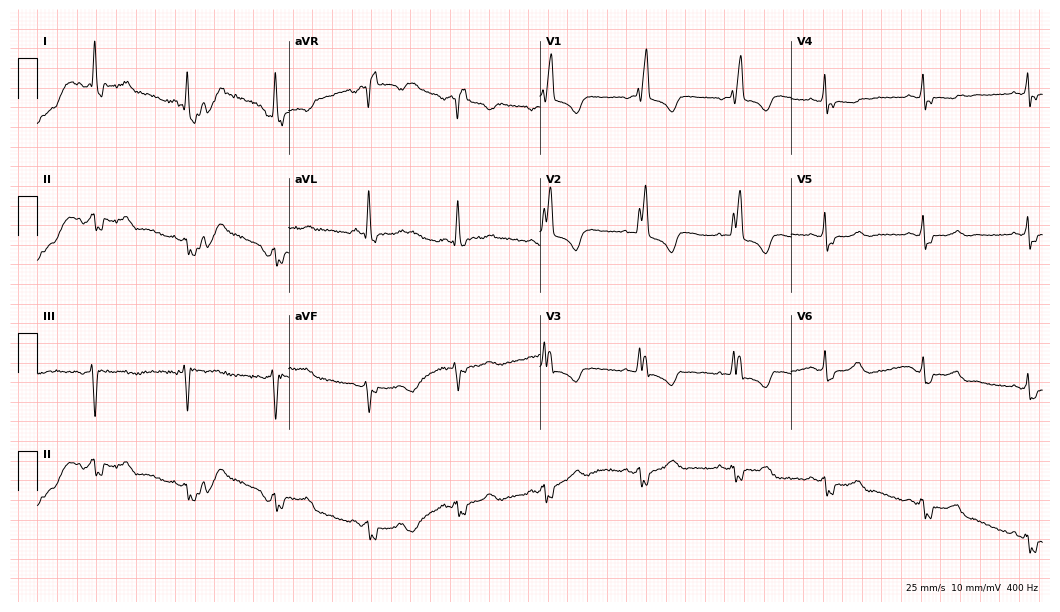
Electrocardiogram, a 59-year-old female. Interpretation includes right bundle branch block (RBBB).